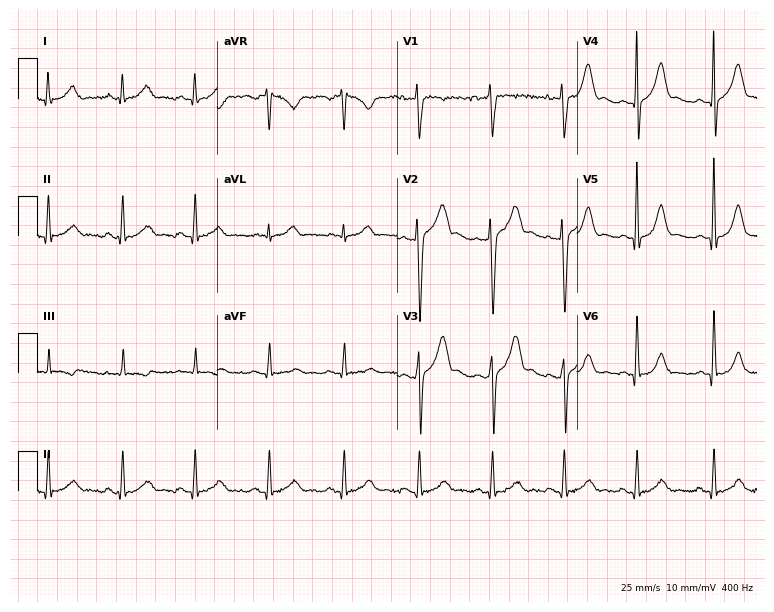
Resting 12-lead electrocardiogram. Patient: a 27-year-old male. None of these six findings is recorded: first-degree AV block, right bundle branch block, left bundle branch block, sinus bradycardia, atrial fibrillation, sinus tachycardia. Other findings, if any, are not listed.